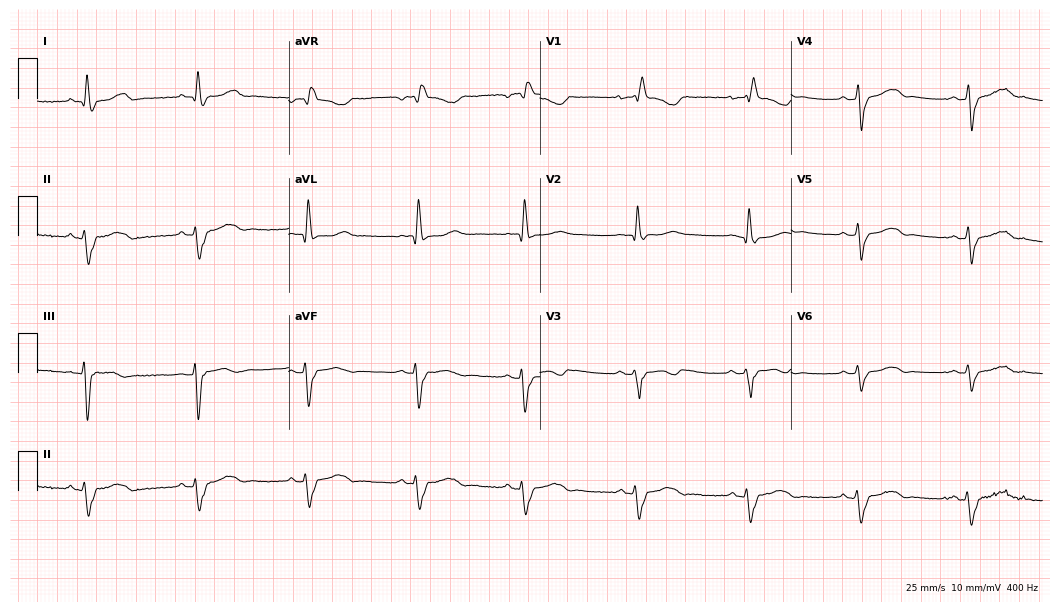
Standard 12-lead ECG recorded from a 42-year-old female patient. The tracing shows right bundle branch block.